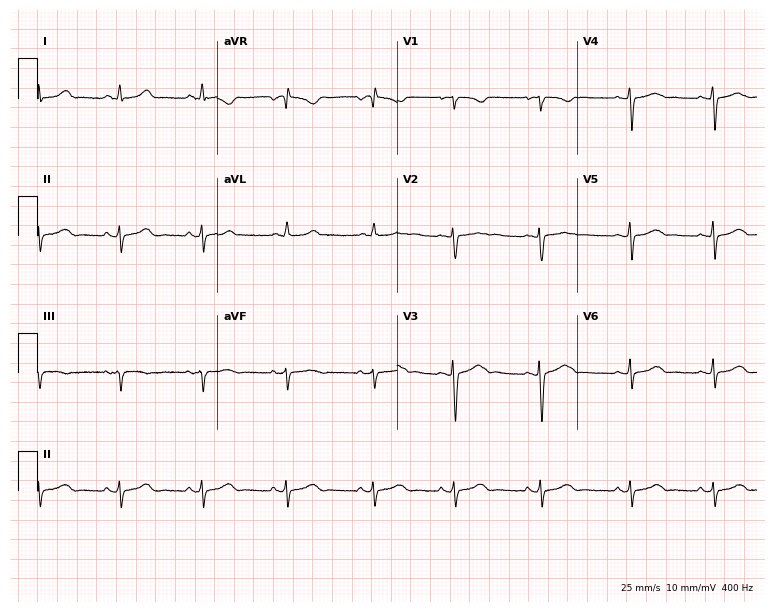
12-lead ECG (7.3-second recording at 400 Hz) from a female, 23 years old. Screened for six findings — first-degree AV block, right bundle branch block, left bundle branch block, sinus bradycardia, atrial fibrillation, sinus tachycardia — none is recorded. Findings outside these six are not listed.